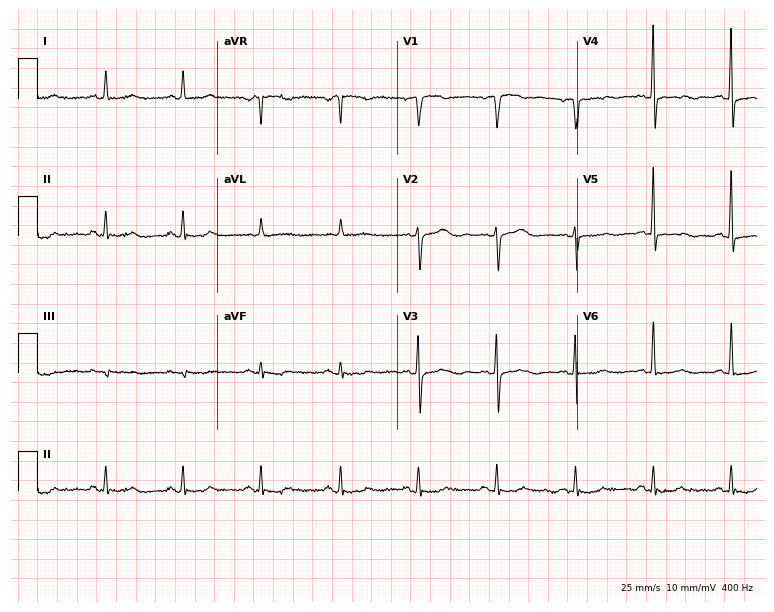
Standard 12-lead ECG recorded from a female patient, 79 years old (7.3-second recording at 400 Hz). None of these six findings is recorded: first-degree AV block, right bundle branch block (RBBB), left bundle branch block (LBBB), sinus bradycardia, atrial fibrillation (AF), sinus tachycardia. Only these six findings were labelled.